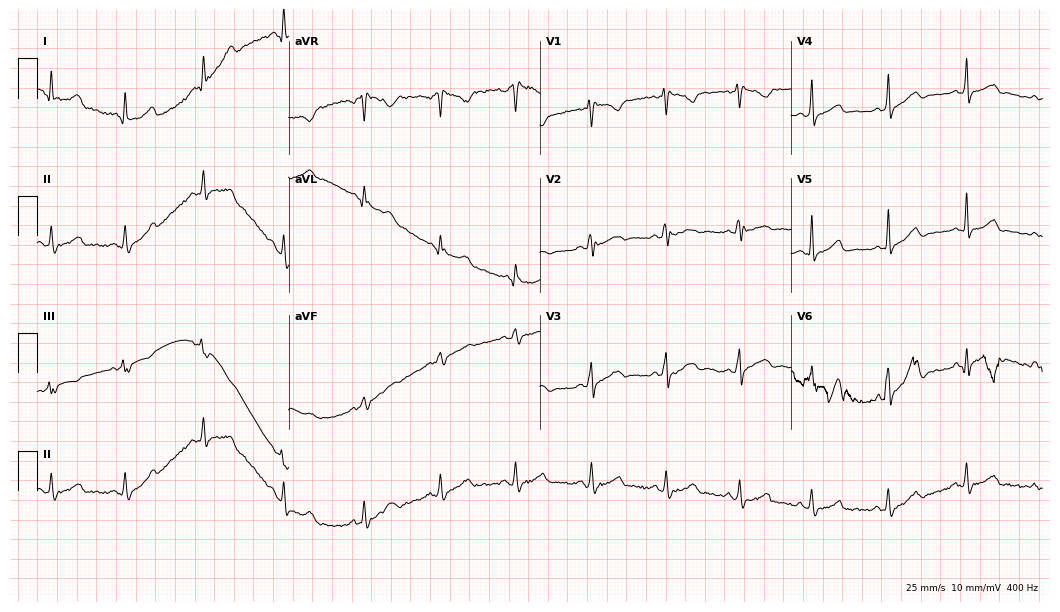
Resting 12-lead electrocardiogram. Patient: a female, 23 years old. None of these six findings is recorded: first-degree AV block, right bundle branch block, left bundle branch block, sinus bradycardia, atrial fibrillation, sinus tachycardia. Only these six findings were labelled.